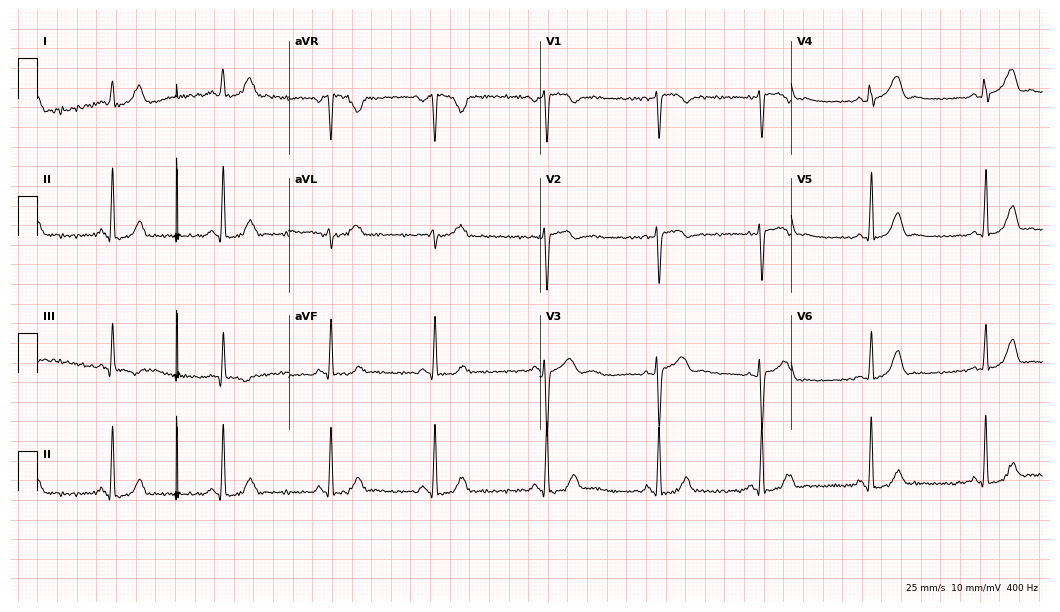
Electrocardiogram (10.2-second recording at 400 Hz), a female patient, 21 years old. Of the six screened findings (first-degree AV block, right bundle branch block, left bundle branch block, sinus bradycardia, atrial fibrillation, sinus tachycardia), none is recorded.